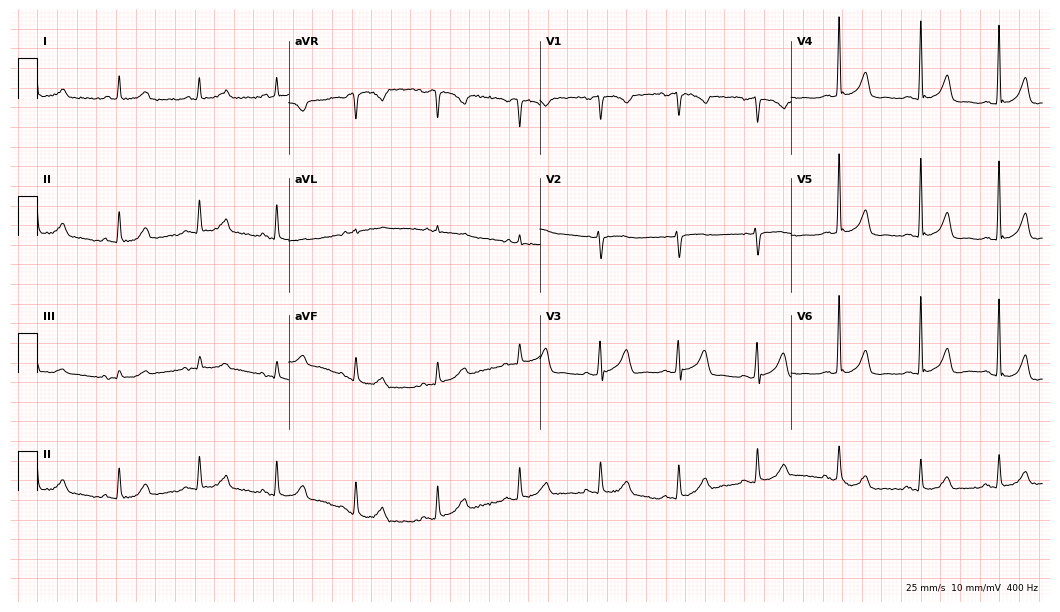
12-lead ECG from a female, 74 years old (10.2-second recording at 400 Hz). Recorded interpretation: within normal limits.